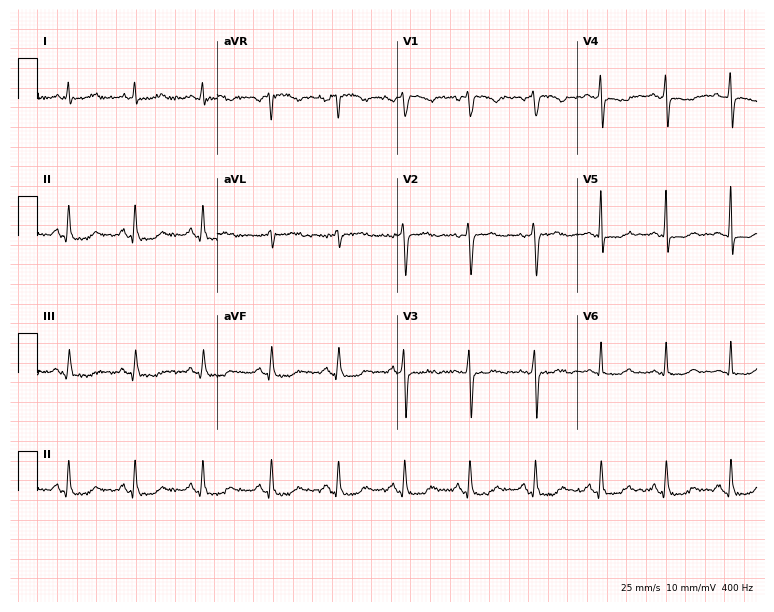
ECG — a woman, 55 years old. Screened for six findings — first-degree AV block, right bundle branch block, left bundle branch block, sinus bradycardia, atrial fibrillation, sinus tachycardia — none is recorded. Only these six findings were labelled.